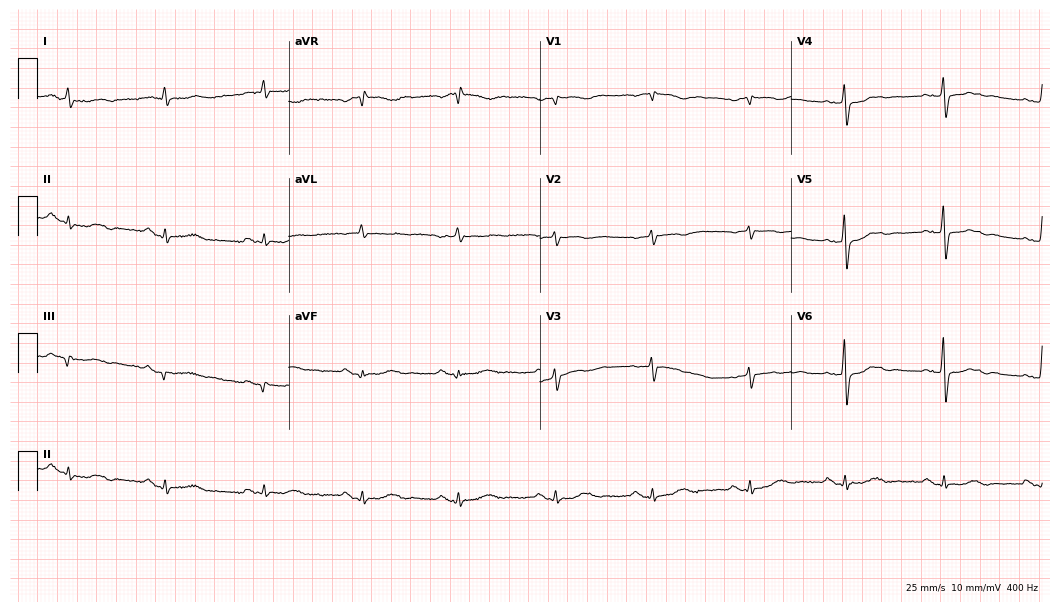
Resting 12-lead electrocardiogram. Patient: an 85-year-old male. None of these six findings is recorded: first-degree AV block, right bundle branch block, left bundle branch block, sinus bradycardia, atrial fibrillation, sinus tachycardia. Only these six findings were labelled.